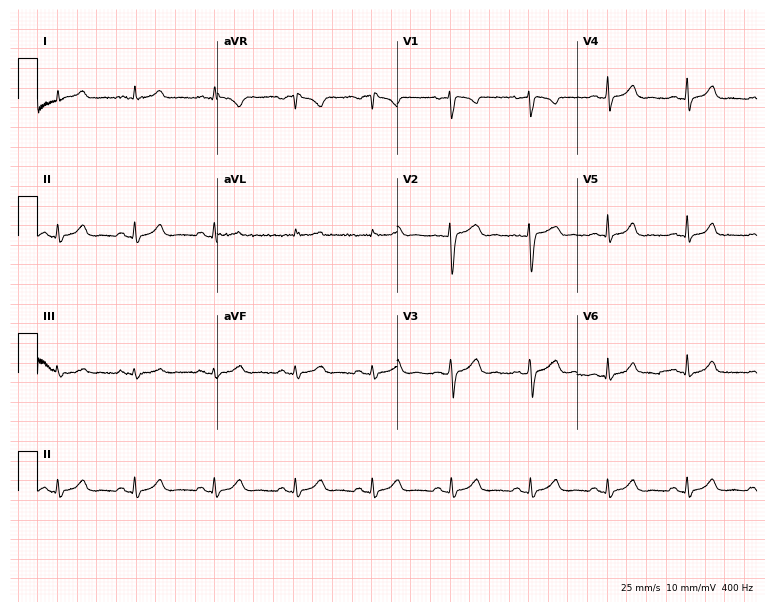
12-lead ECG from a 45-year-old female patient. Recorded interpretation: within normal limits.